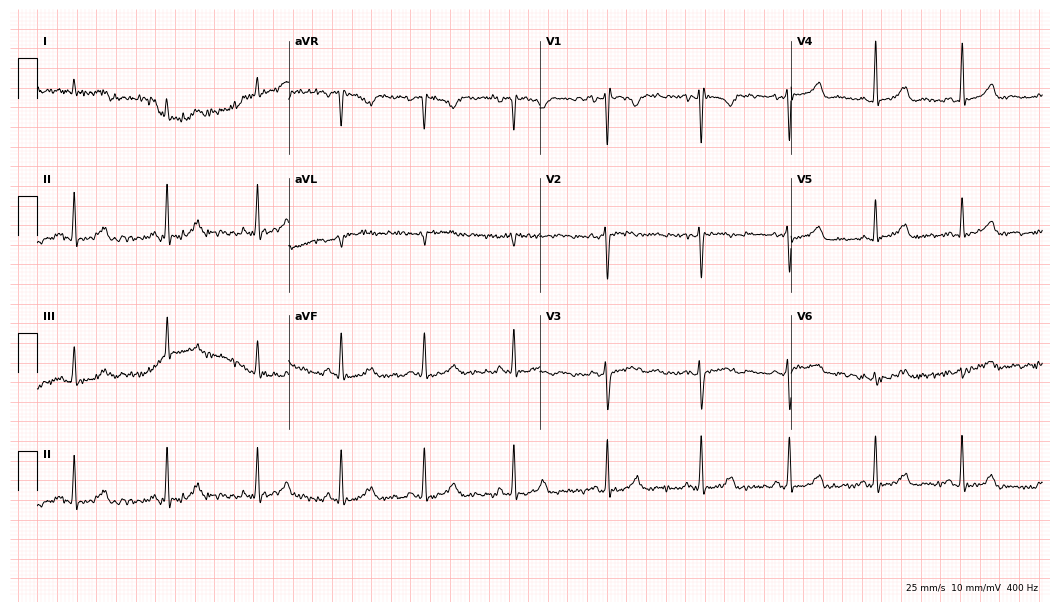
Electrocardiogram (10.2-second recording at 400 Hz), a 33-year-old woman. Of the six screened findings (first-degree AV block, right bundle branch block, left bundle branch block, sinus bradycardia, atrial fibrillation, sinus tachycardia), none is recorded. Only these six findings were labelled.